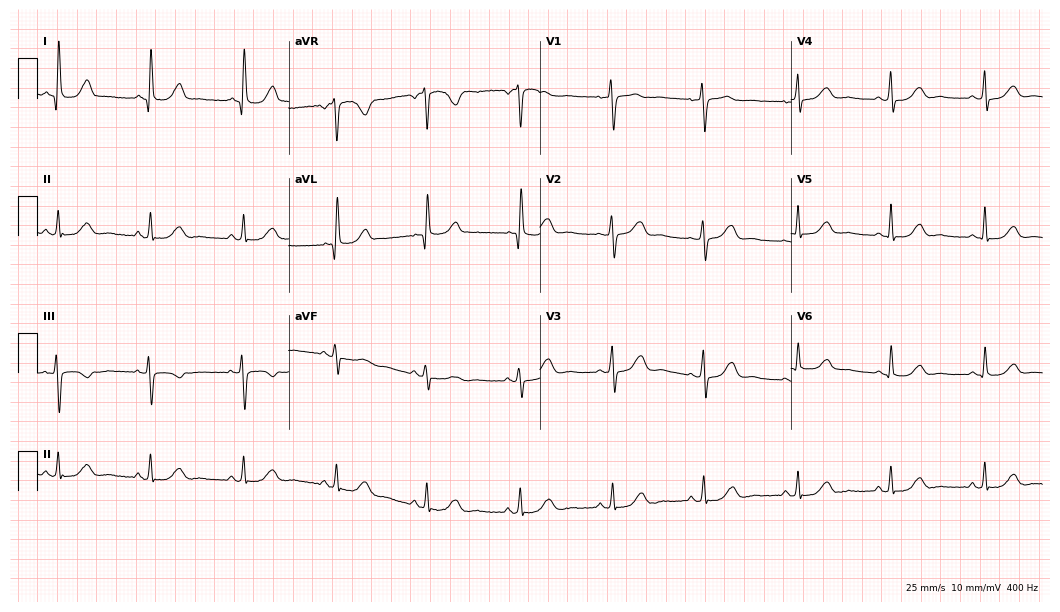
12-lead ECG (10.2-second recording at 400 Hz) from a 56-year-old woman. Labelled as a normal ECG.